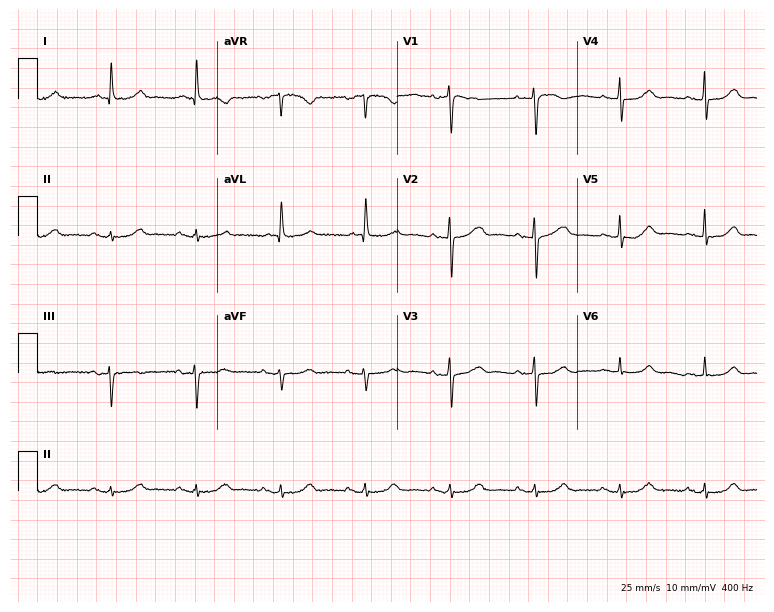
ECG (7.3-second recording at 400 Hz) — a female, 77 years old. Labelled as a normal ECG.